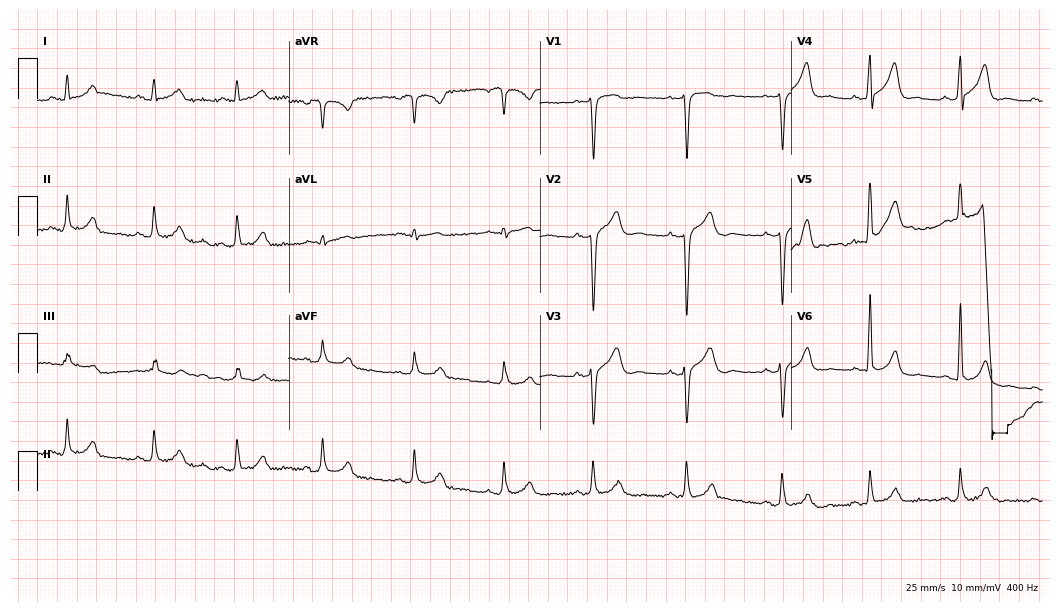
Standard 12-lead ECG recorded from a 24-year-old male. None of these six findings is recorded: first-degree AV block, right bundle branch block, left bundle branch block, sinus bradycardia, atrial fibrillation, sinus tachycardia.